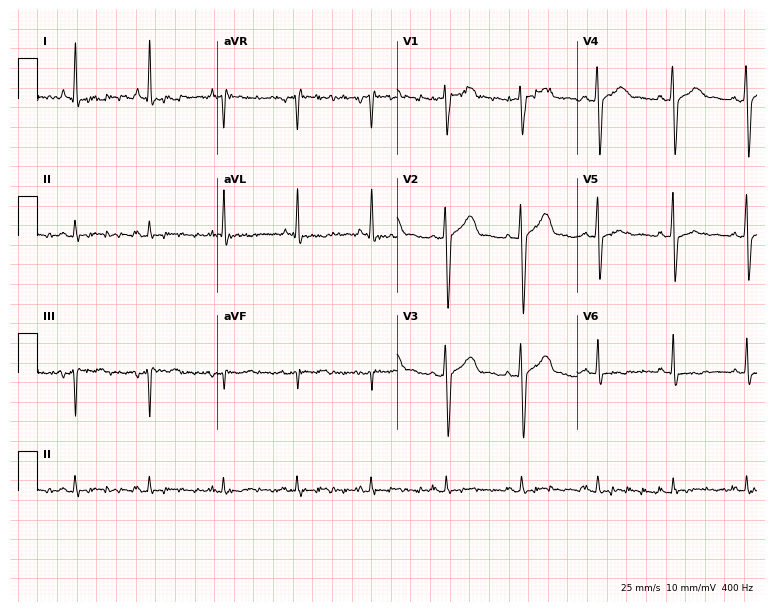
Standard 12-lead ECG recorded from a 47-year-old male (7.3-second recording at 400 Hz). None of these six findings is recorded: first-degree AV block, right bundle branch block, left bundle branch block, sinus bradycardia, atrial fibrillation, sinus tachycardia. Other findings, if any, are not listed.